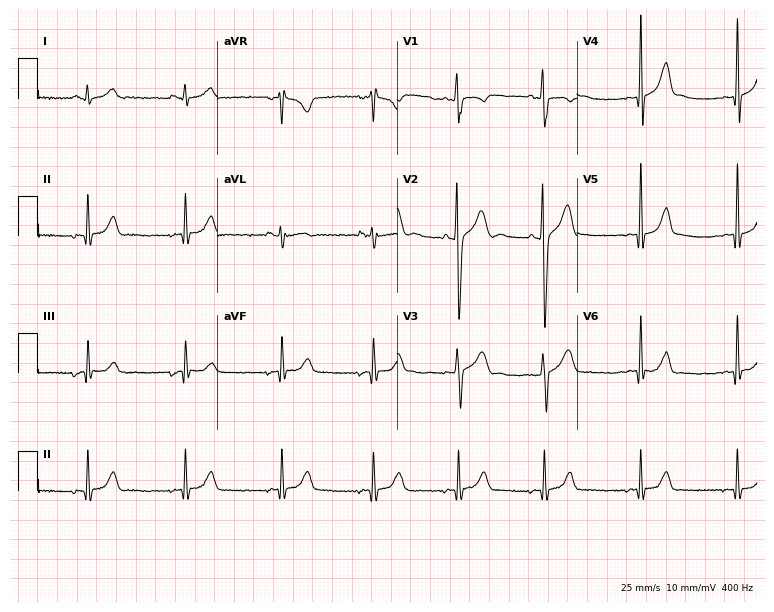
12-lead ECG from a 17-year-old male. Screened for six findings — first-degree AV block, right bundle branch block, left bundle branch block, sinus bradycardia, atrial fibrillation, sinus tachycardia — none is recorded. Findings outside these six are not listed.